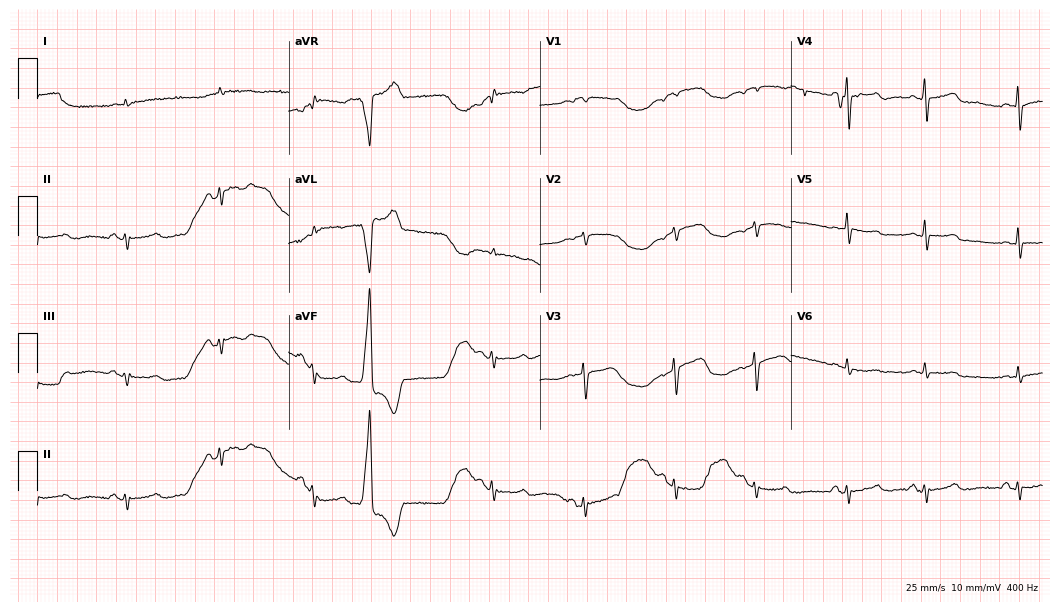
ECG — a 77-year-old male patient. Screened for six findings — first-degree AV block, right bundle branch block, left bundle branch block, sinus bradycardia, atrial fibrillation, sinus tachycardia — none is recorded.